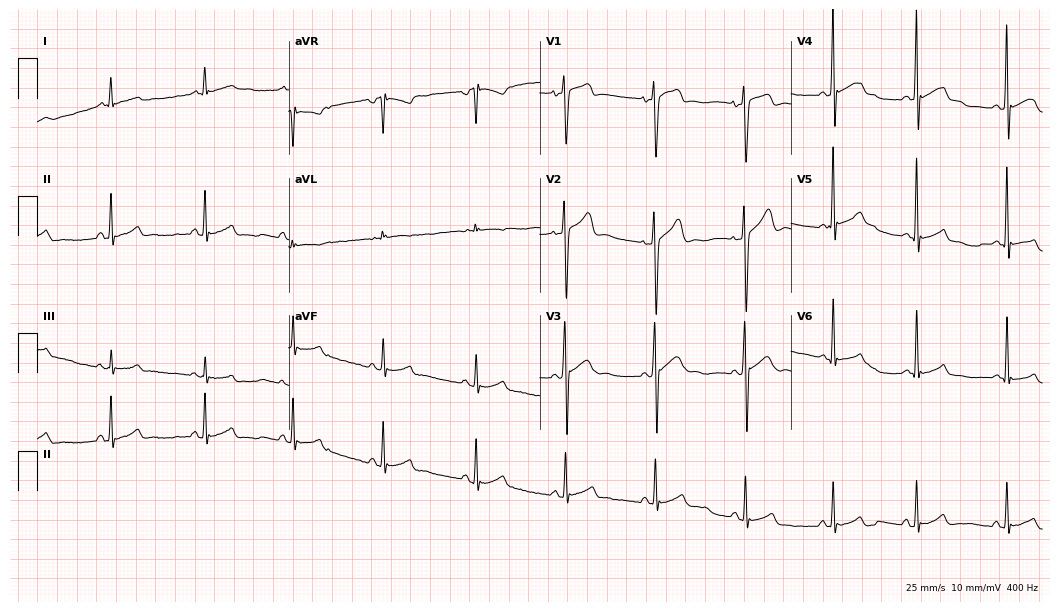
12-lead ECG from a 17-year-old man. Labelled as a normal ECG.